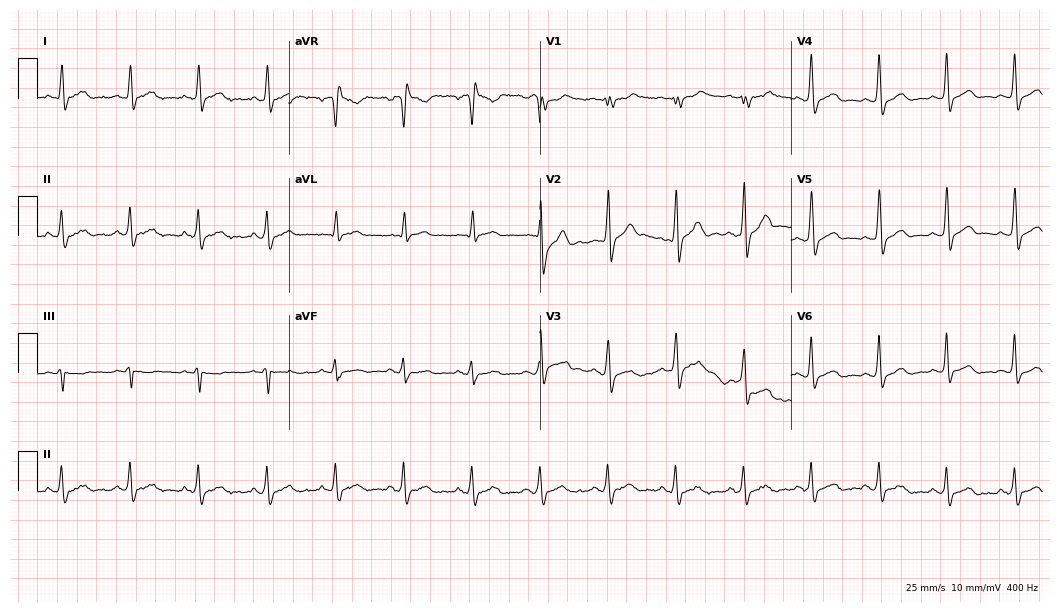
12-lead ECG from a male patient, 39 years old. Screened for six findings — first-degree AV block, right bundle branch block, left bundle branch block, sinus bradycardia, atrial fibrillation, sinus tachycardia — none is recorded. Only these six findings were labelled.